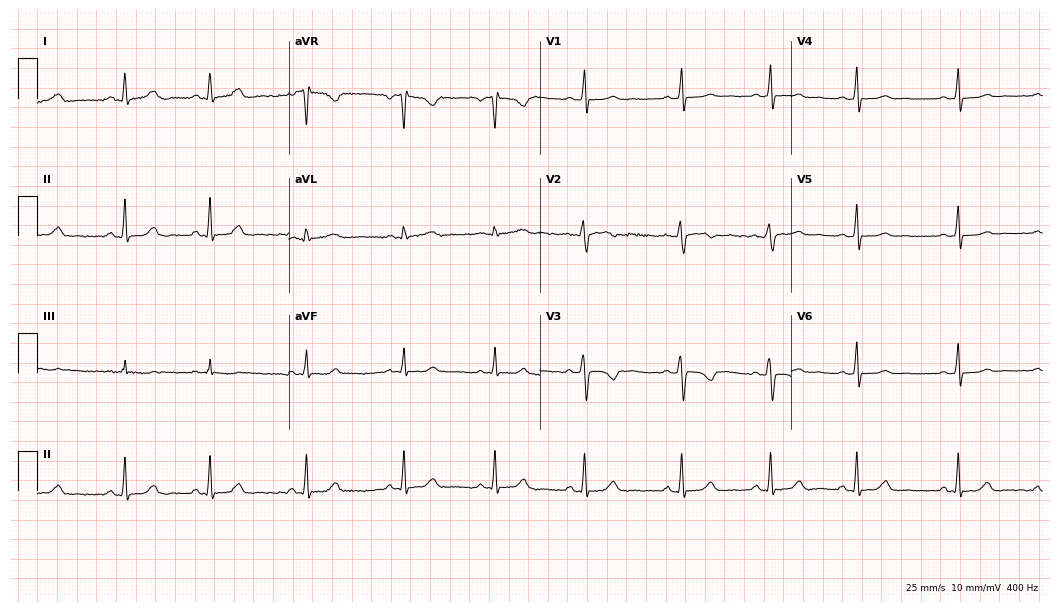
12-lead ECG from a 30-year-old female. Labelled as a normal ECG.